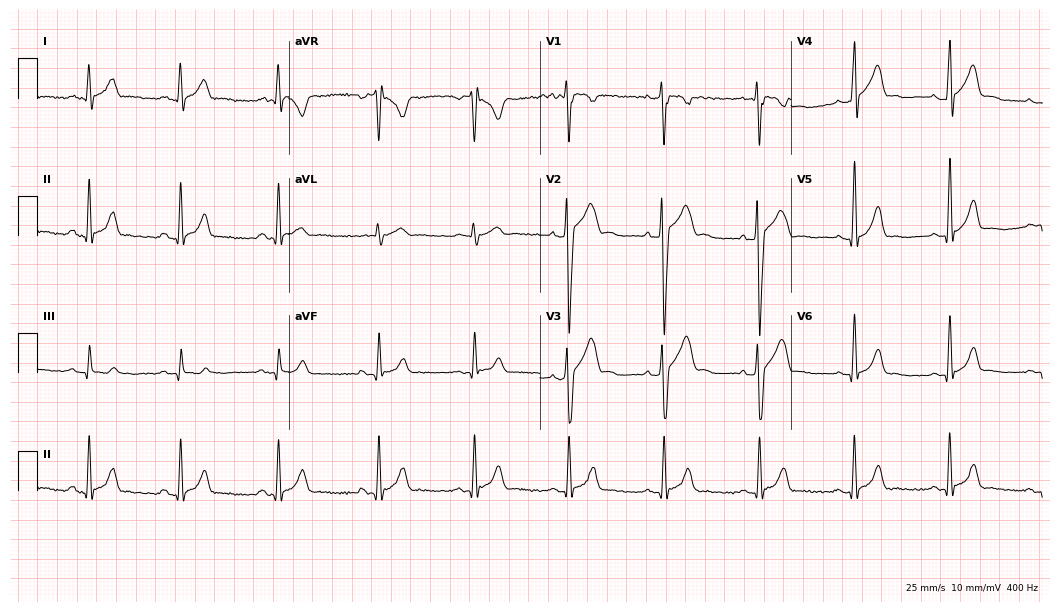
12-lead ECG from a 25-year-old male. No first-degree AV block, right bundle branch block, left bundle branch block, sinus bradycardia, atrial fibrillation or sinus tachycardia recorded for this tracing. Only these six findings were labelled.